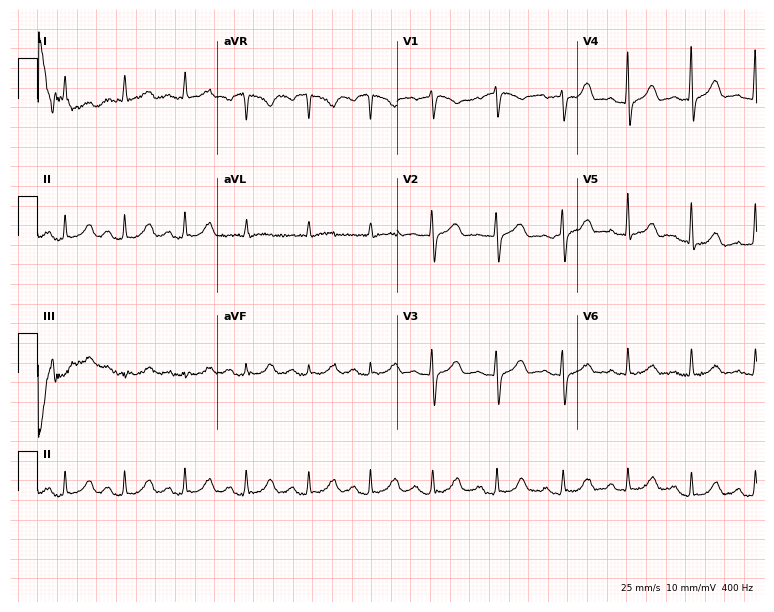
Resting 12-lead electrocardiogram. Patient: a 59-year-old woman. Read as a normal ECG.